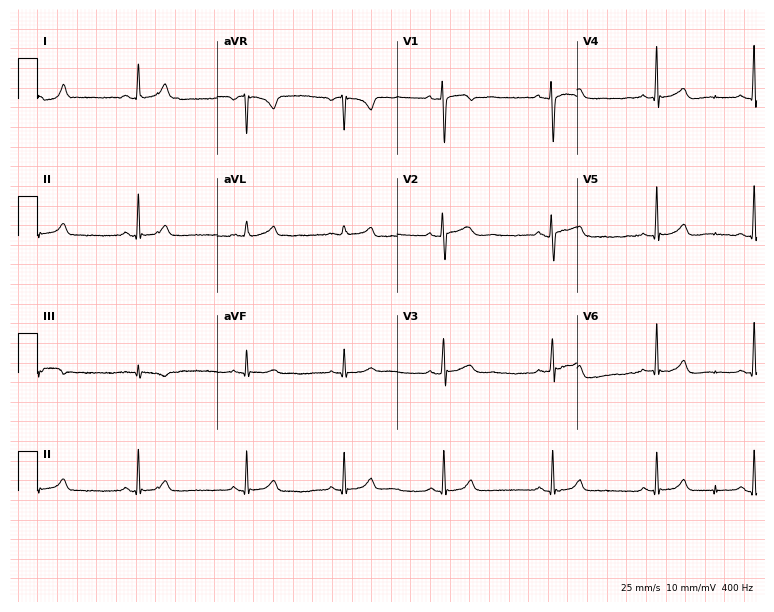
Resting 12-lead electrocardiogram (7.3-second recording at 400 Hz). Patient: a 17-year-old woman. Read as a normal ECG.